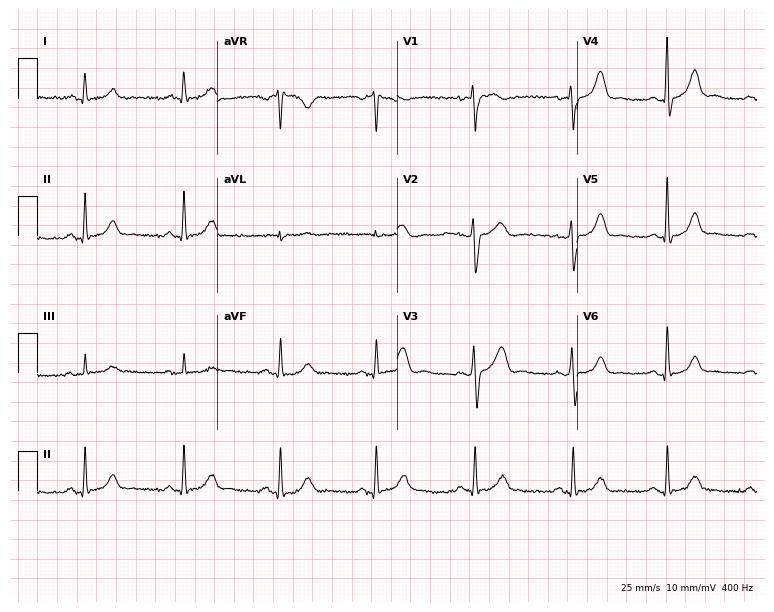
12-lead ECG (7.3-second recording at 400 Hz) from a female patient, 48 years old. Screened for six findings — first-degree AV block, right bundle branch block (RBBB), left bundle branch block (LBBB), sinus bradycardia, atrial fibrillation (AF), sinus tachycardia — none is recorded.